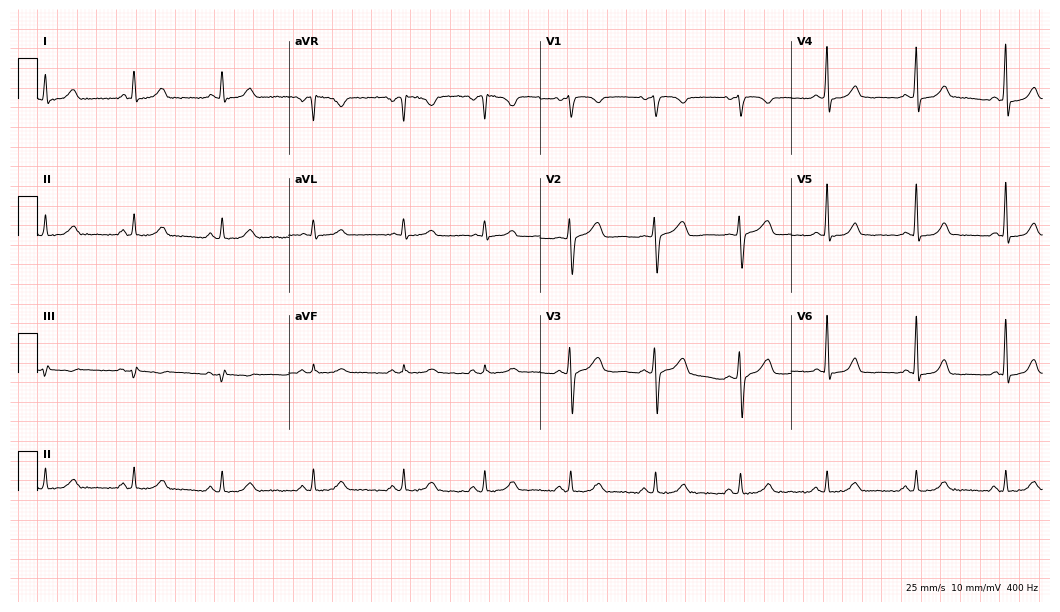
Resting 12-lead electrocardiogram (10.2-second recording at 400 Hz). Patient: a woman, 45 years old. Read as a normal ECG.